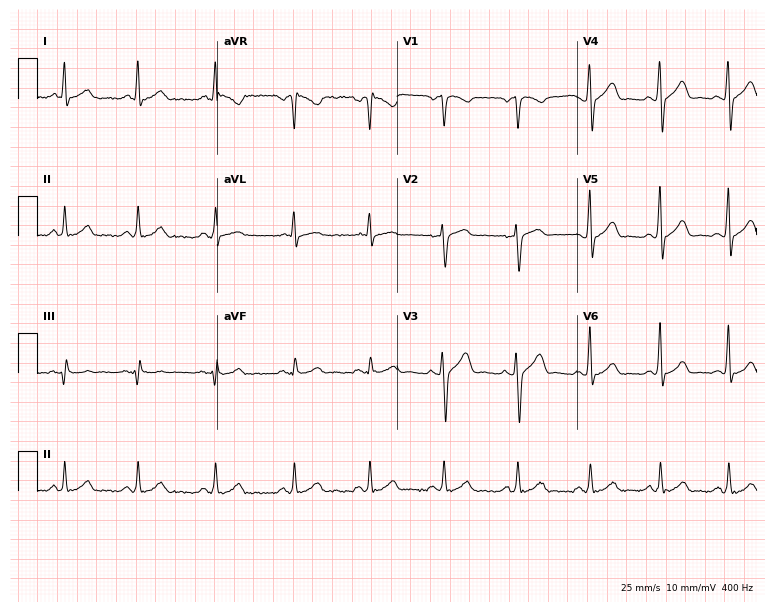
12-lead ECG from a male patient, 45 years old. No first-degree AV block, right bundle branch block, left bundle branch block, sinus bradycardia, atrial fibrillation or sinus tachycardia recorded for this tracing.